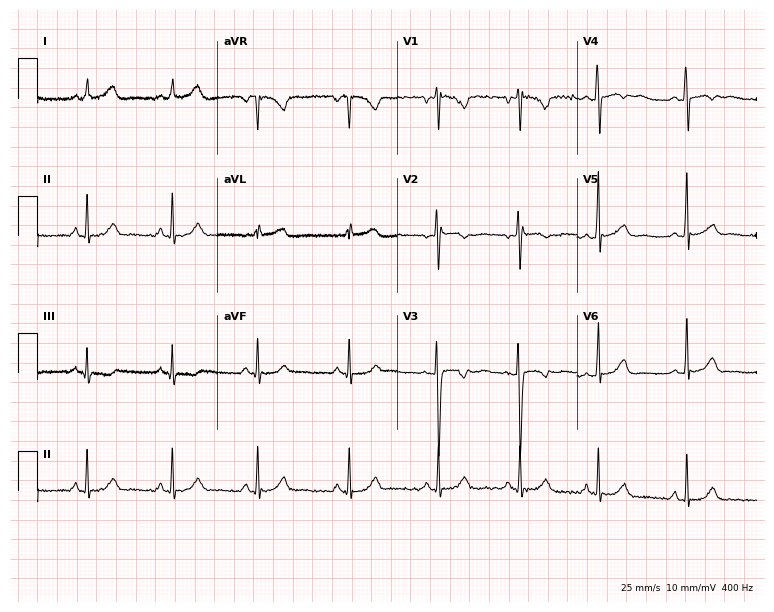
12-lead ECG from a female, 21 years old (7.3-second recording at 400 Hz). Recorded interpretation: within normal limits.